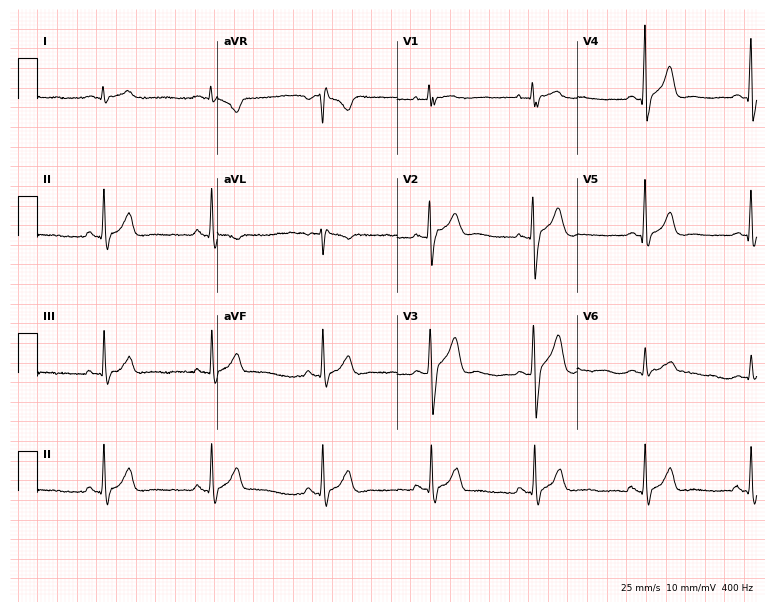
12-lead ECG from a male, 31 years old (7.3-second recording at 400 Hz). No first-degree AV block, right bundle branch block, left bundle branch block, sinus bradycardia, atrial fibrillation or sinus tachycardia recorded for this tracing.